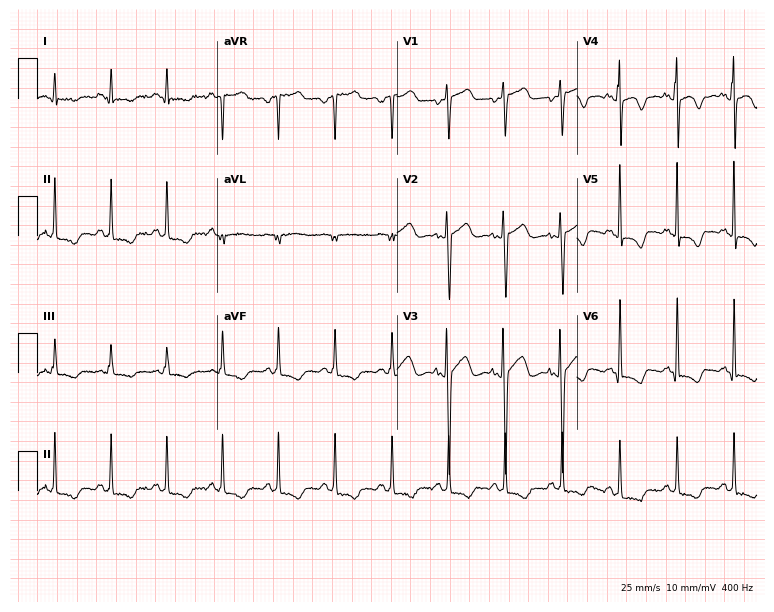
12-lead ECG from a 51-year-old female patient. No first-degree AV block, right bundle branch block, left bundle branch block, sinus bradycardia, atrial fibrillation or sinus tachycardia recorded for this tracing. Only these six findings were labelled.